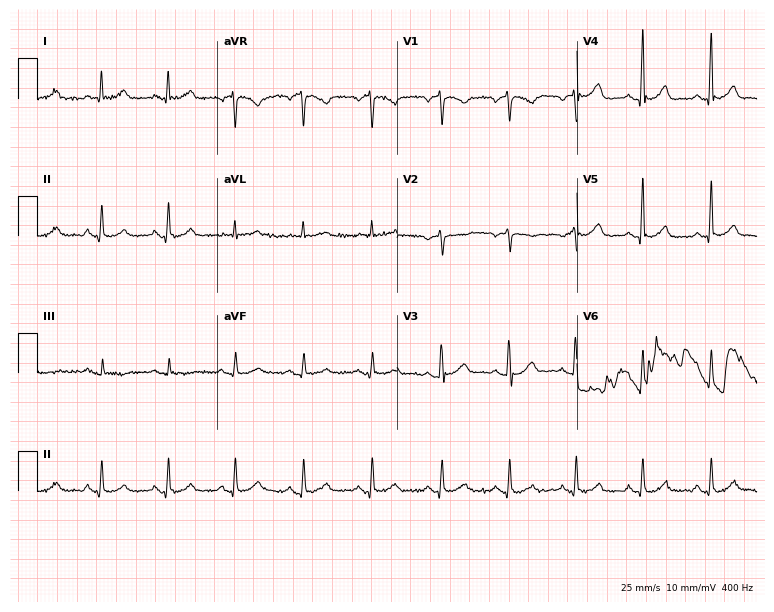
ECG (7.3-second recording at 400 Hz) — a 69-year-old female patient. Screened for six findings — first-degree AV block, right bundle branch block (RBBB), left bundle branch block (LBBB), sinus bradycardia, atrial fibrillation (AF), sinus tachycardia — none is recorded.